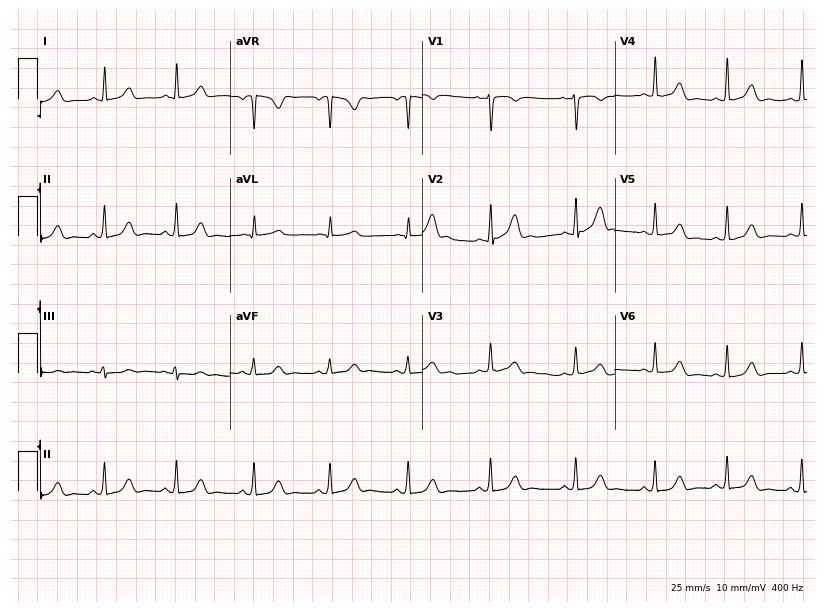
ECG (7.8-second recording at 400 Hz) — a 17-year-old woman. Screened for six findings — first-degree AV block, right bundle branch block, left bundle branch block, sinus bradycardia, atrial fibrillation, sinus tachycardia — none is recorded.